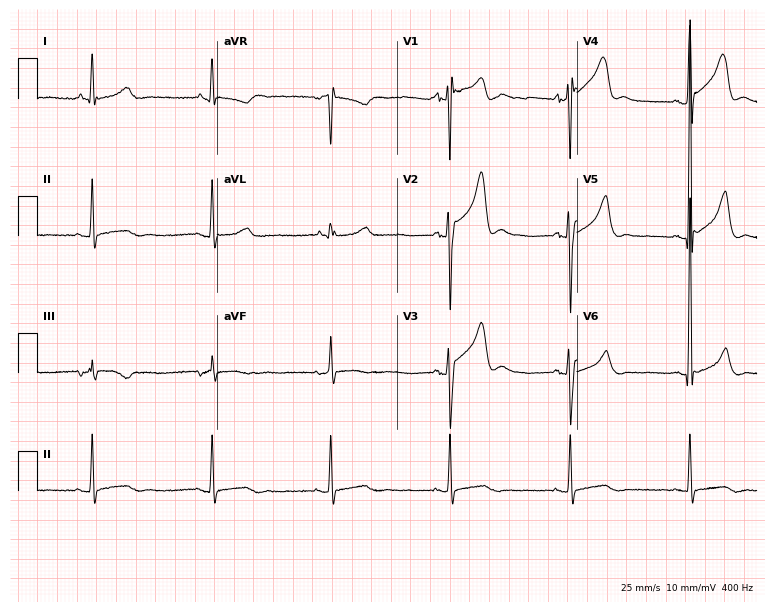
ECG (7.3-second recording at 400 Hz) — a 54-year-old female patient. Screened for six findings — first-degree AV block, right bundle branch block (RBBB), left bundle branch block (LBBB), sinus bradycardia, atrial fibrillation (AF), sinus tachycardia — none is recorded.